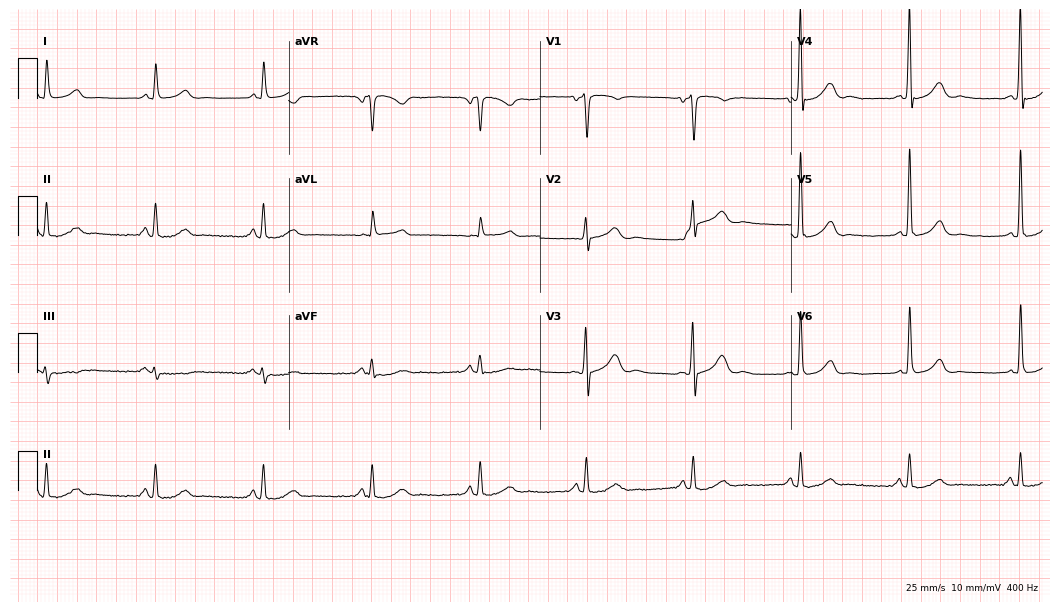
12-lead ECG from a 69-year-old male patient. Labelled as a normal ECG.